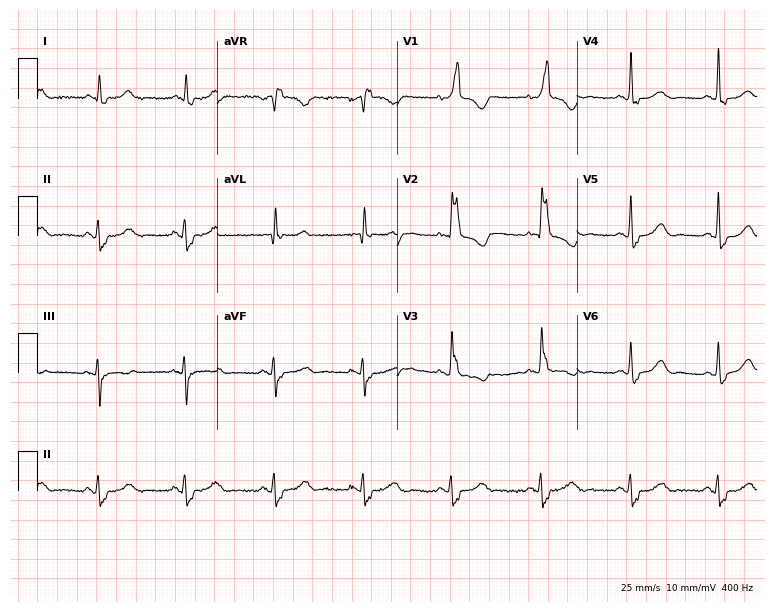
12-lead ECG from a woman, 71 years old. Findings include right bundle branch block.